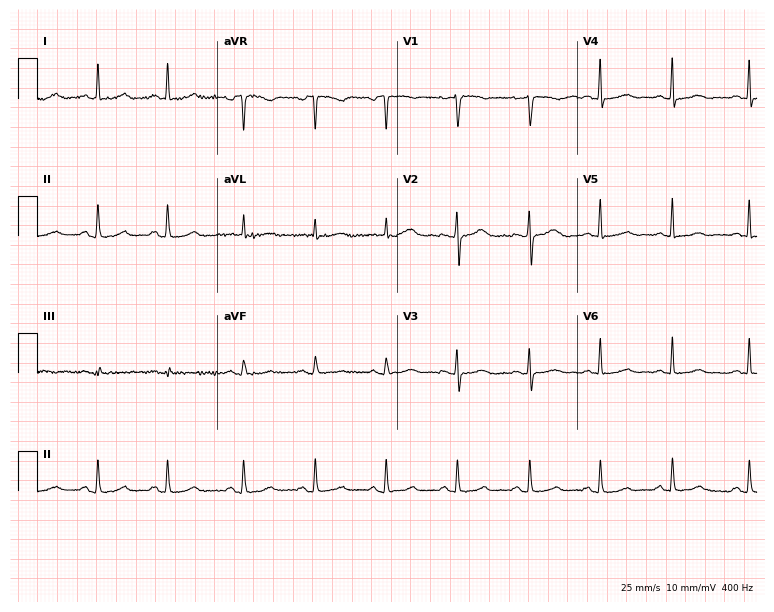
Resting 12-lead electrocardiogram. Patient: a 53-year-old female. Read as a normal ECG.